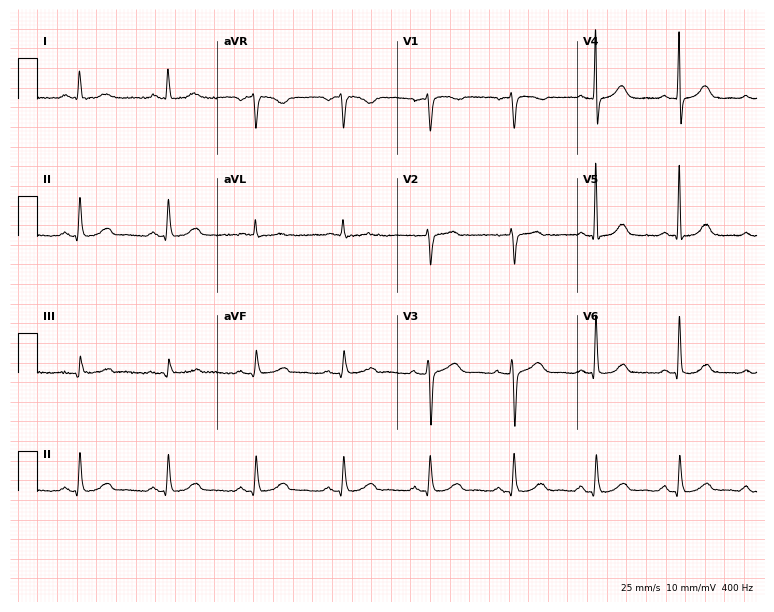
Standard 12-lead ECG recorded from a female patient, 52 years old (7.3-second recording at 400 Hz). Read as a normal ECG.